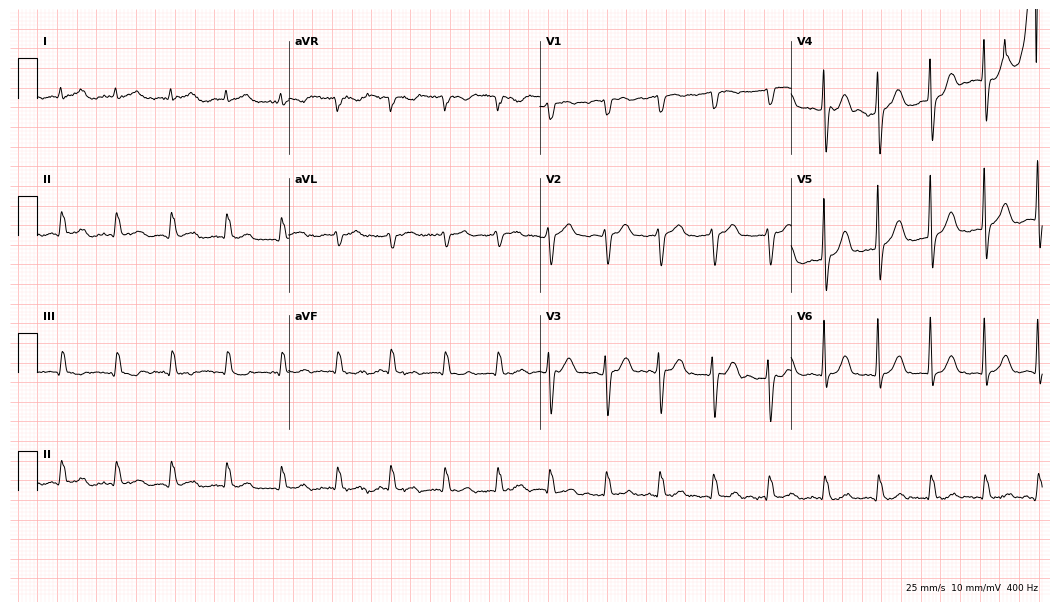
Electrocardiogram, an 83-year-old man. Interpretation includes atrial fibrillation, sinus tachycardia (a sinus rate of 100 beats per minute or more).